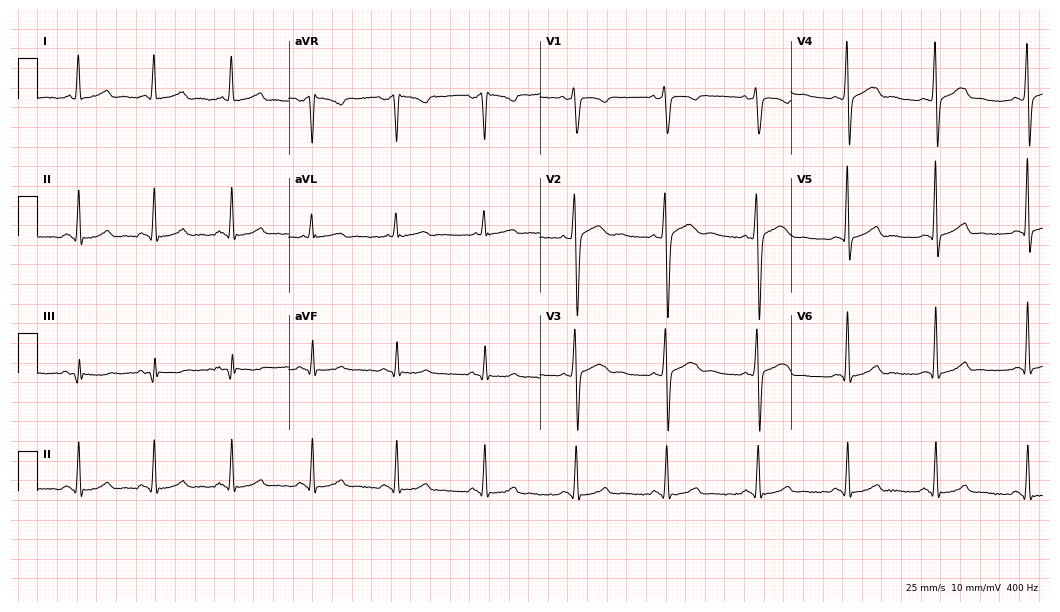
ECG (10.2-second recording at 400 Hz) — a woman, 35 years old. Screened for six findings — first-degree AV block, right bundle branch block, left bundle branch block, sinus bradycardia, atrial fibrillation, sinus tachycardia — none is recorded. Findings outside these six are not listed.